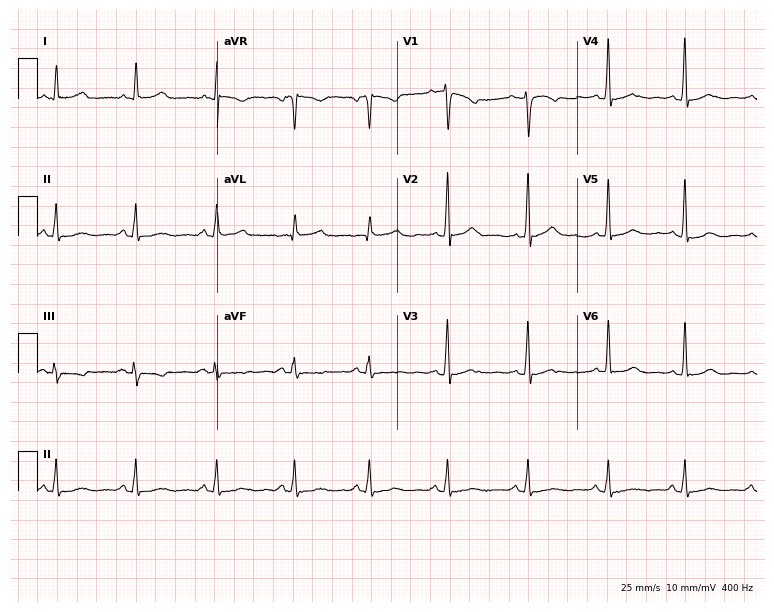
12-lead ECG from a 45-year-old woman (7.3-second recording at 400 Hz). Recorded interpretation: within normal limits.